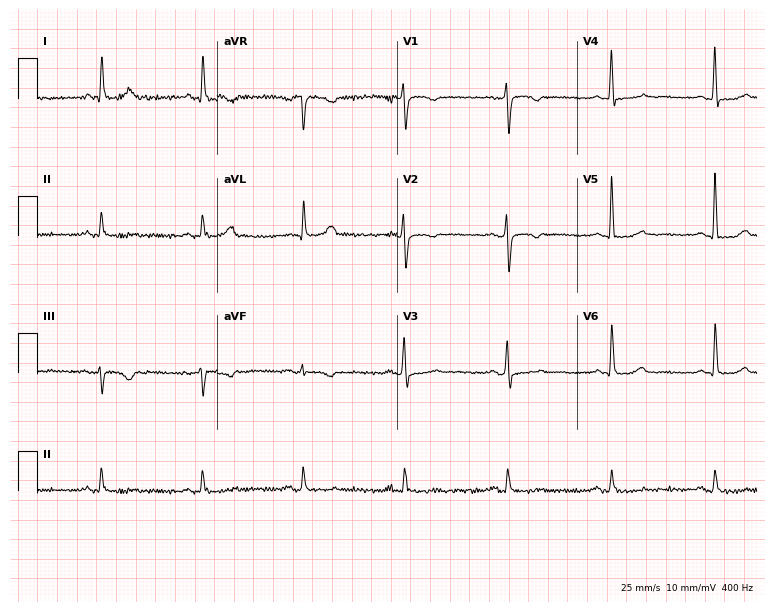
Electrocardiogram (7.3-second recording at 400 Hz), a female, 71 years old. Overall reading on record: normal ECG.